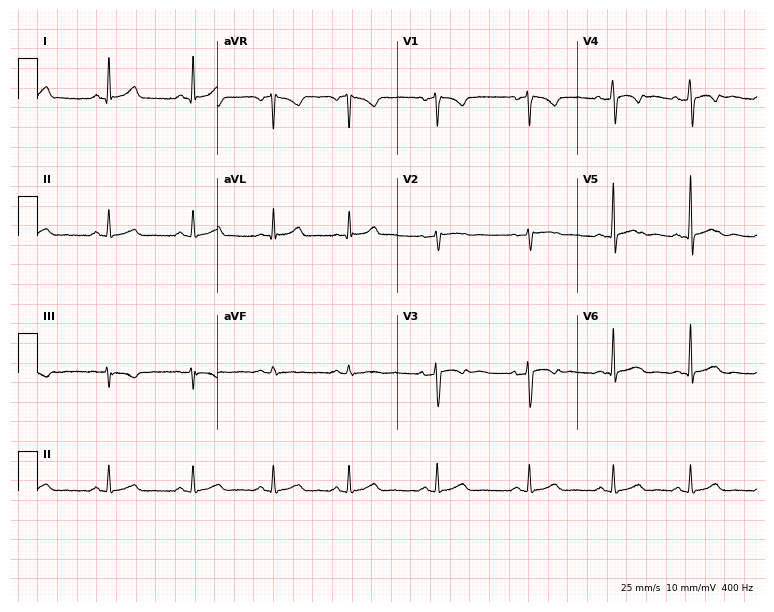
Resting 12-lead electrocardiogram (7.3-second recording at 400 Hz). Patient: a female, 40 years old. None of these six findings is recorded: first-degree AV block, right bundle branch block, left bundle branch block, sinus bradycardia, atrial fibrillation, sinus tachycardia. Findings outside these six are not listed.